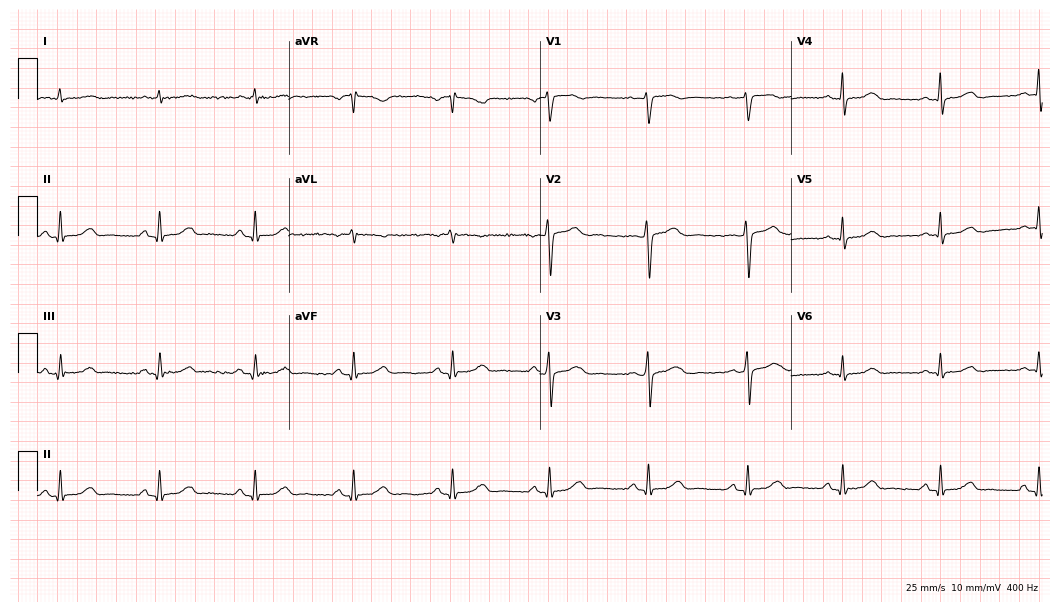
12-lead ECG from a female, 51 years old. No first-degree AV block, right bundle branch block (RBBB), left bundle branch block (LBBB), sinus bradycardia, atrial fibrillation (AF) or sinus tachycardia recorded for this tracing. Other findings, if any, are not listed.